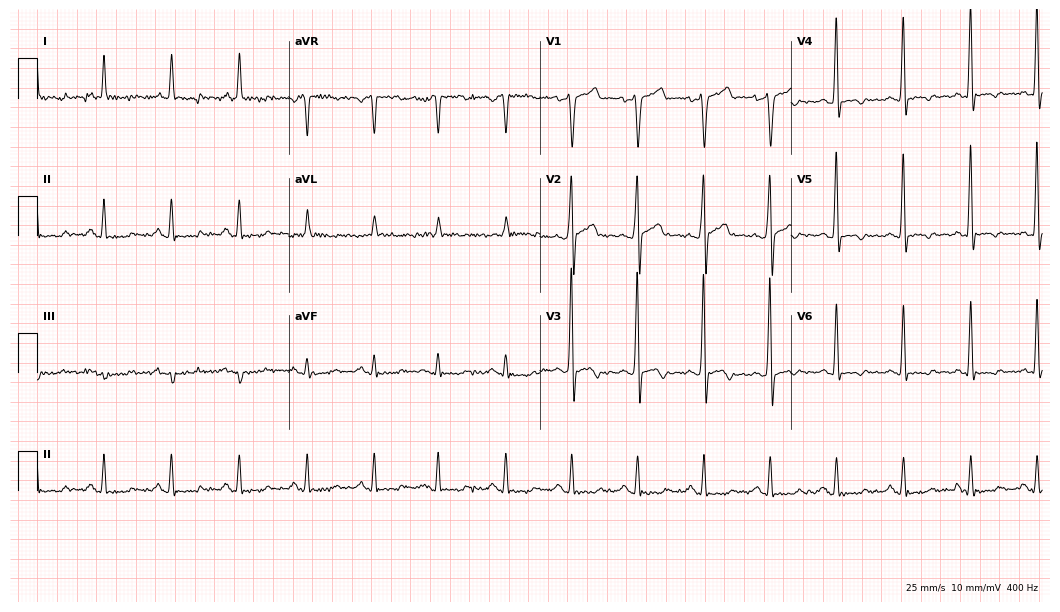
12-lead ECG from a man, 70 years old. Labelled as a normal ECG.